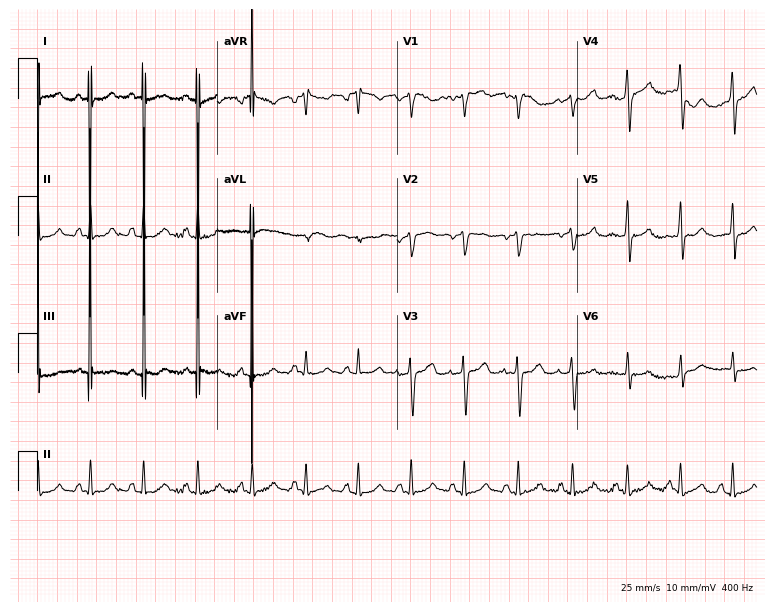
Resting 12-lead electrocardiogram. Patient: a male, 64 years old. The tracing shows sinus tachycardia (a sinus rate of 100 beats per minute or more).